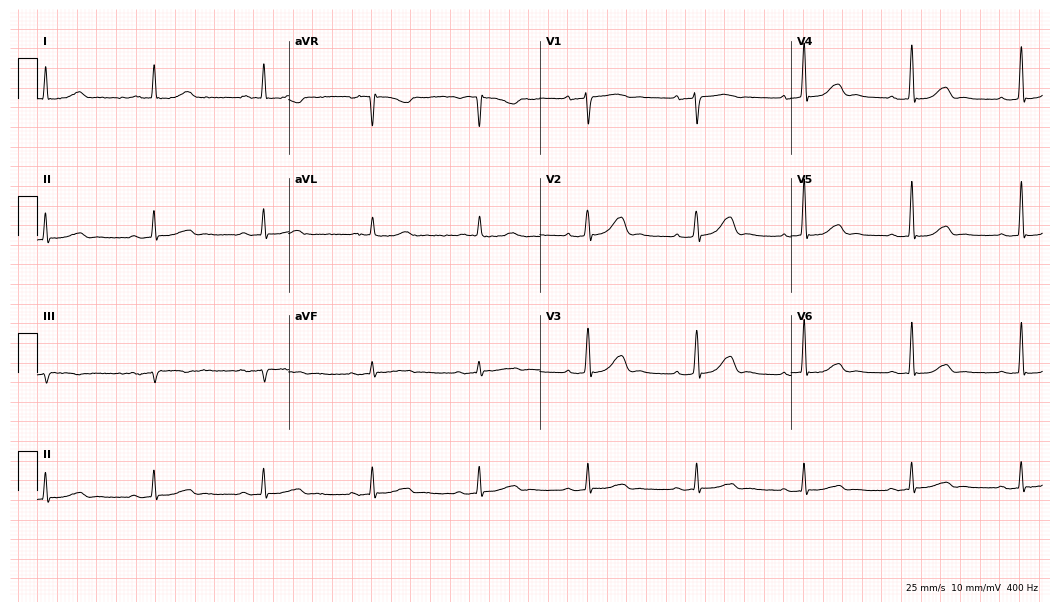
Resting 12-lead electrocardiogram. Patient: an 83-year-old woman. Read as a normal ECG.